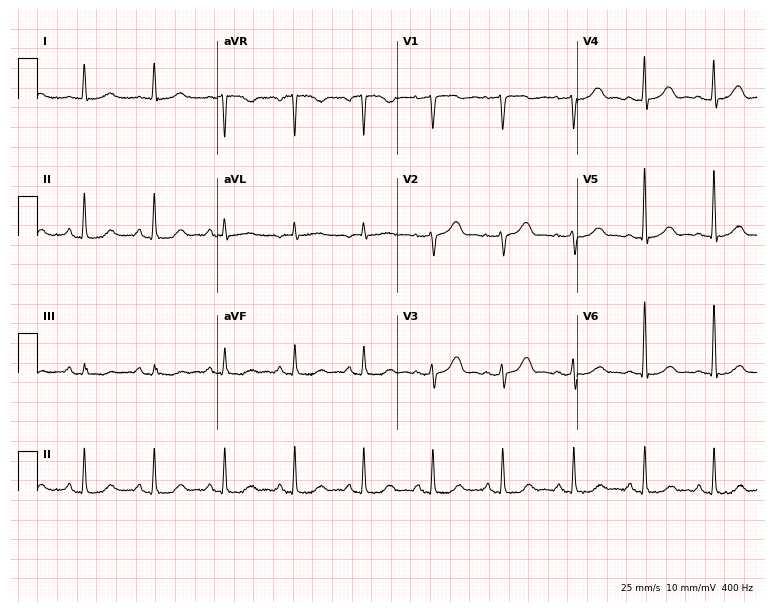
ECG (7.3-second recording at 400 Hz) — a 73-year-old female patient. Screened for six findings — first-degree AV block, right bundle branch block, left bundle branch block, sinus bradycardia, atrial fibrillation, sinus tachycardia — none is recorded. Only these six findings were labelled.